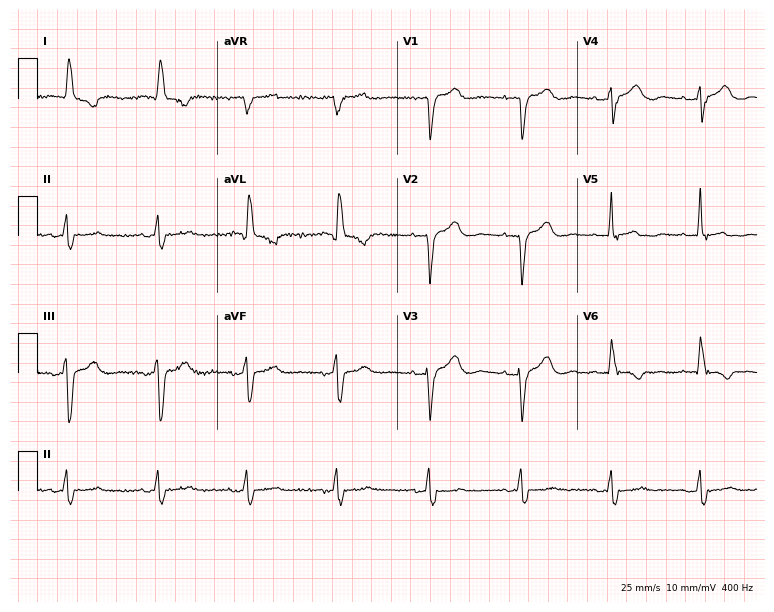
Electrocardiogram, a 77-year-old female patient. Of the six screened findings (first-degree AV block, right bundle branch block, left bundle branch block, sinus bradycardia, atrial fibrillation, sinus tachycardia), none is recorded.